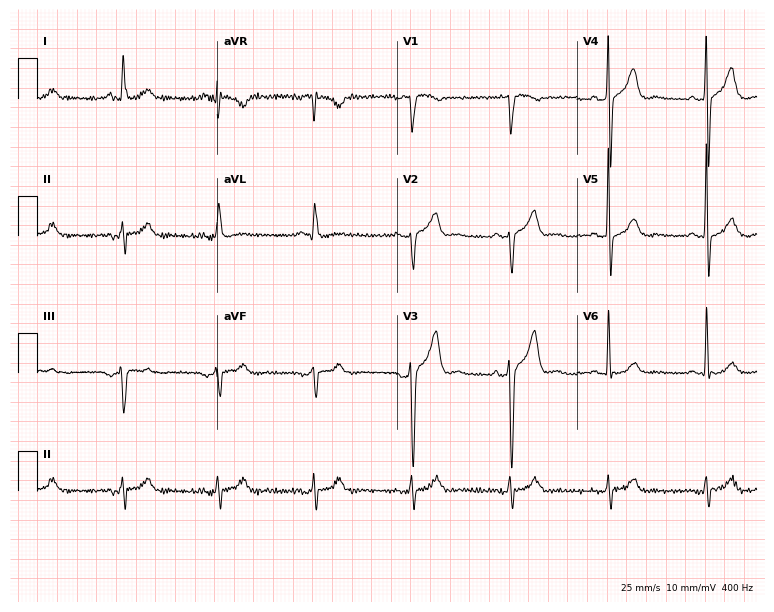
ECG — a man, 78 years old. Labelled as a normal ECG.